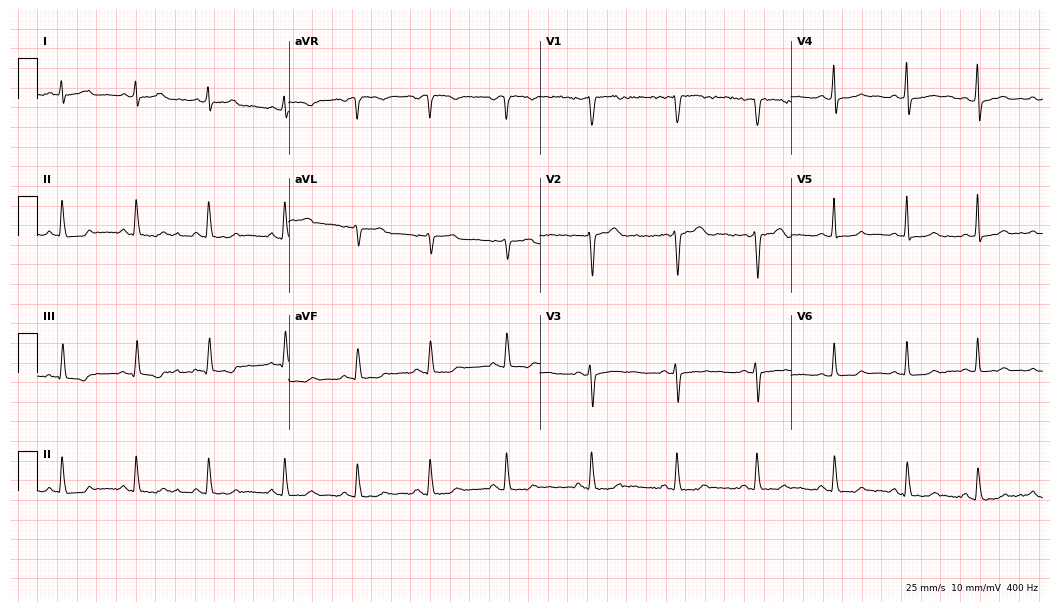
Electrocardiogram, a 38-year-old female. Overall reading on record: normal ECG.